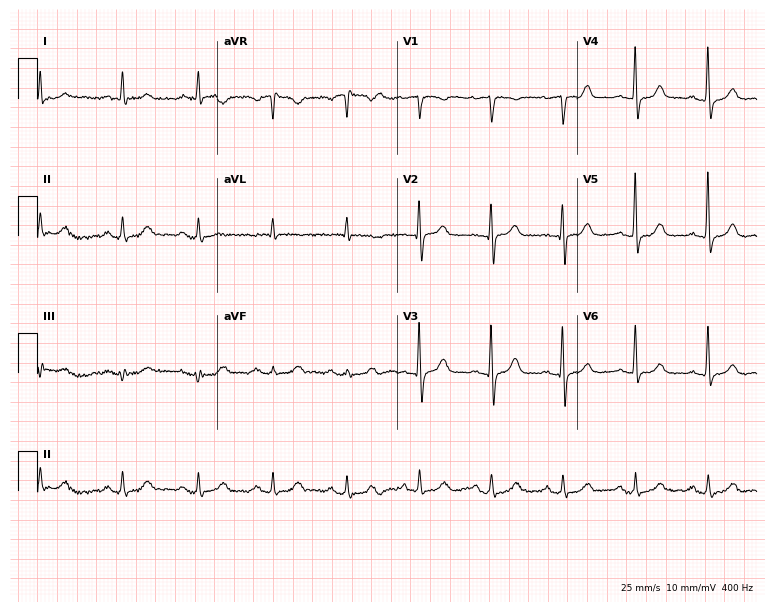
Standard 12-lead ECG recorded from a female, 79 years old. None of these six findings is recorded: first-degree AV block, right bundle branch block, left bundle branch block, sinus bradycardia, atrial fibrillation, sinus tachycardia. Findings outside these six are not listed.